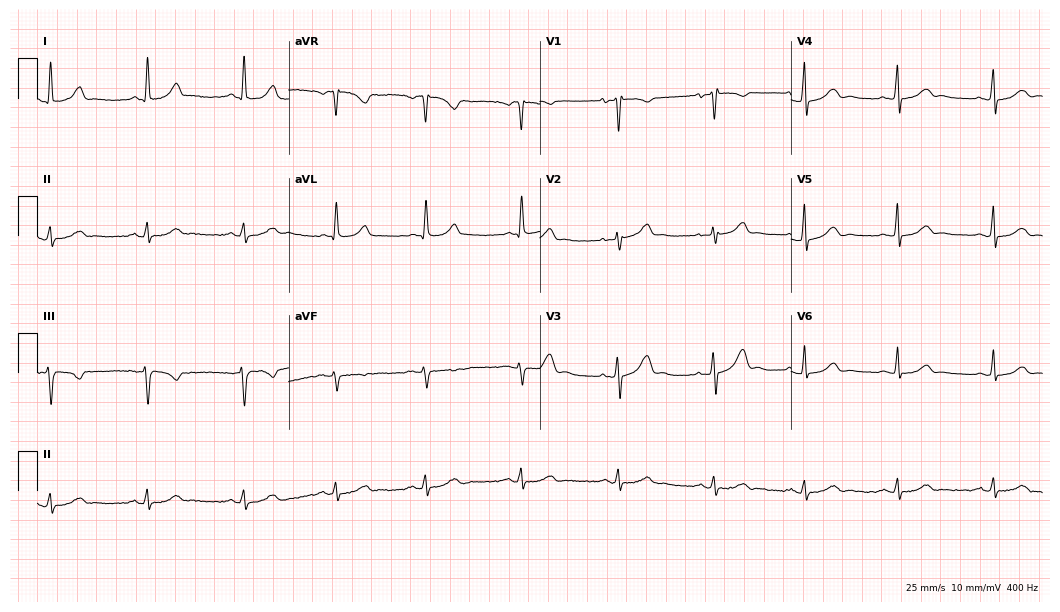
12-lead ECG from a 46-year-old woman. No first-degree AV block, right bundle branch block (RBBB), left bundle branch block (LBBB), sinus bradycardia, atrial fibrillation (AF) or sinus tachycardia recorded for this tracing. Only these six findings were labelled.